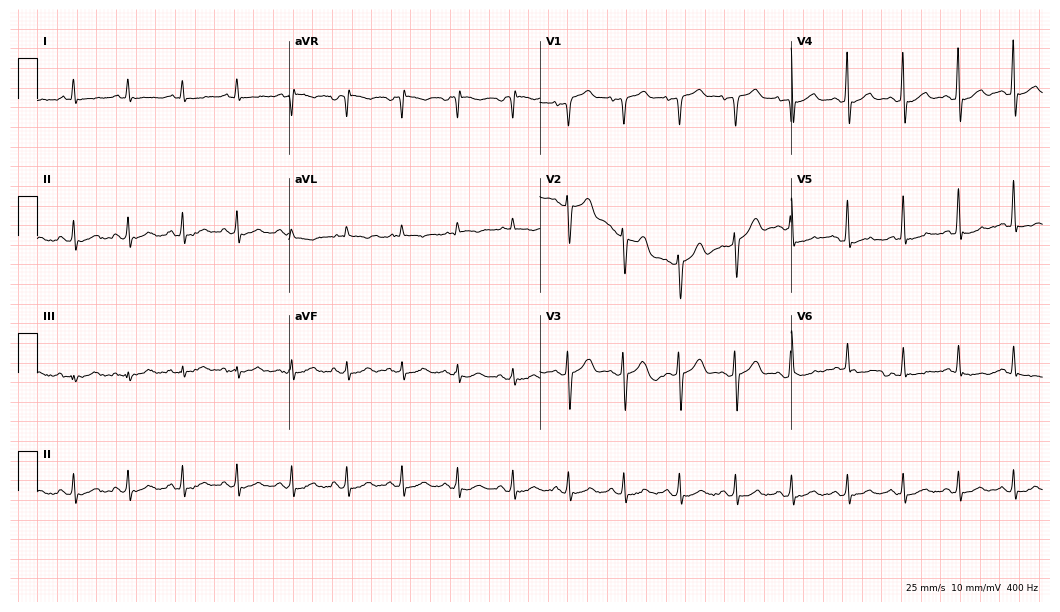
12-lead ECG (10.2-second recording at 400 Hz) from a male patient, 66 years old. Screened for six findings — first-degree AV block, right bundle branch block, left bundle branch block, sinus bradycardia, atrial fibrillation, sinus tachycardia — none is recorded. Findings outside these six are not listed.